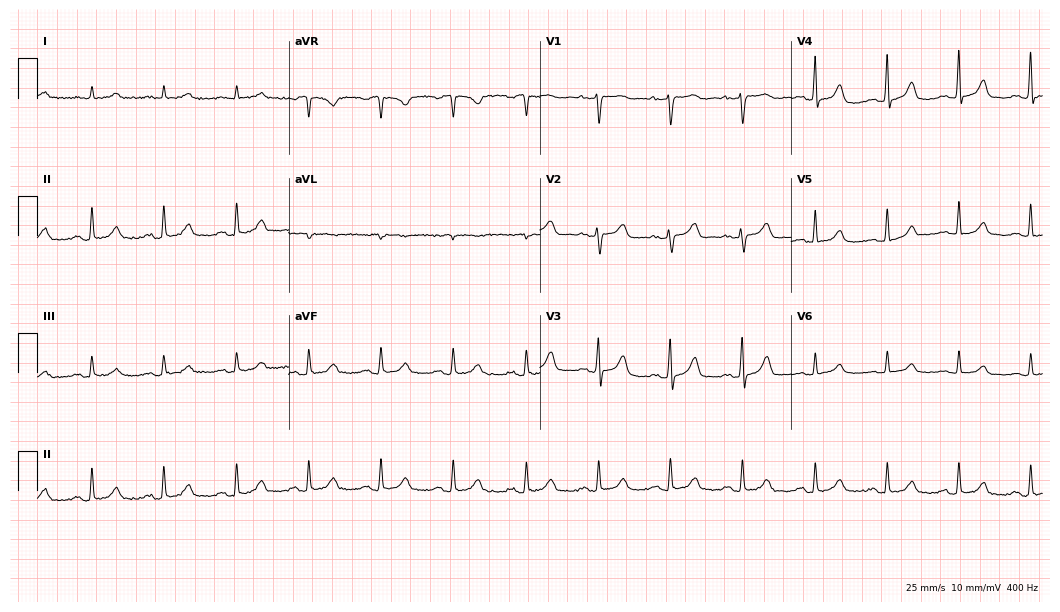
Resting 12-lead electrocardiogram. Patient: a 72-year-old female. None of these six findings is recorded: first-degree AV block, right bundle branch block (RBBB), left bundle branch block (LBBB), sinus bradycardia, atrial fibrillation (AF), sinus tachycardia.